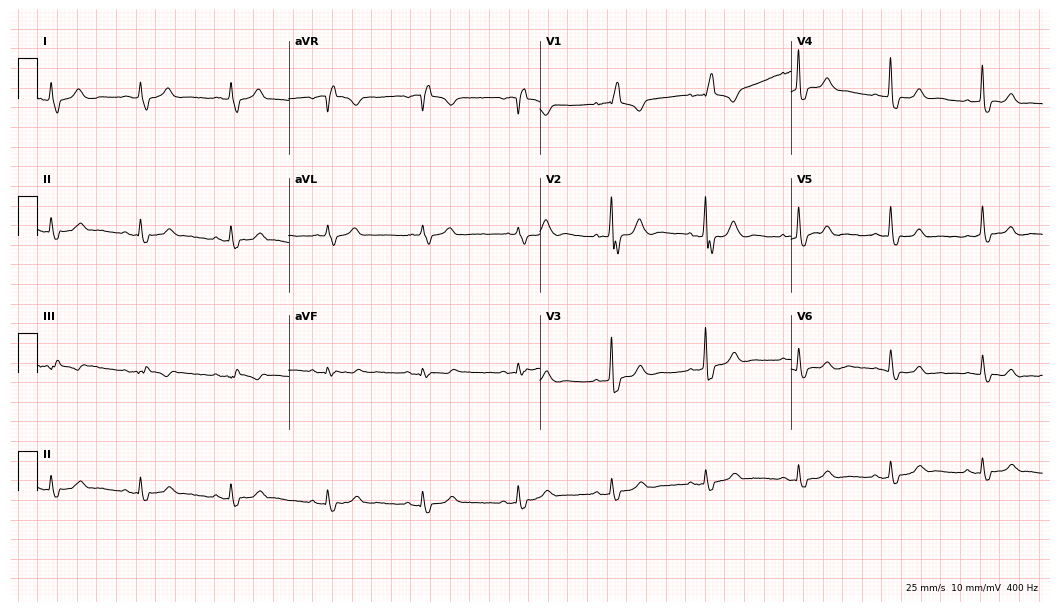
ECG — an 81-year-old female patient. Findings include right bundle branch block (RBBB).